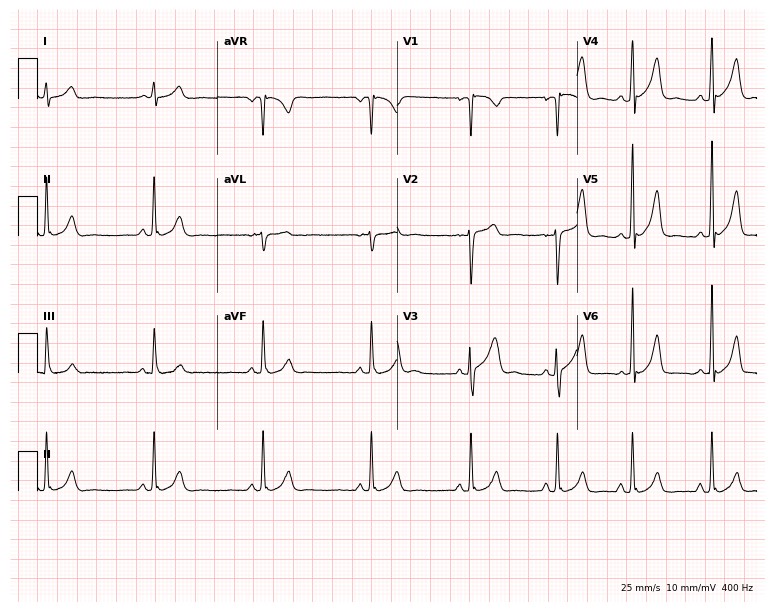
ECG (7.3-second recording at 400 Hz) — a man, 27 years old. Labelled as a normal ECG.